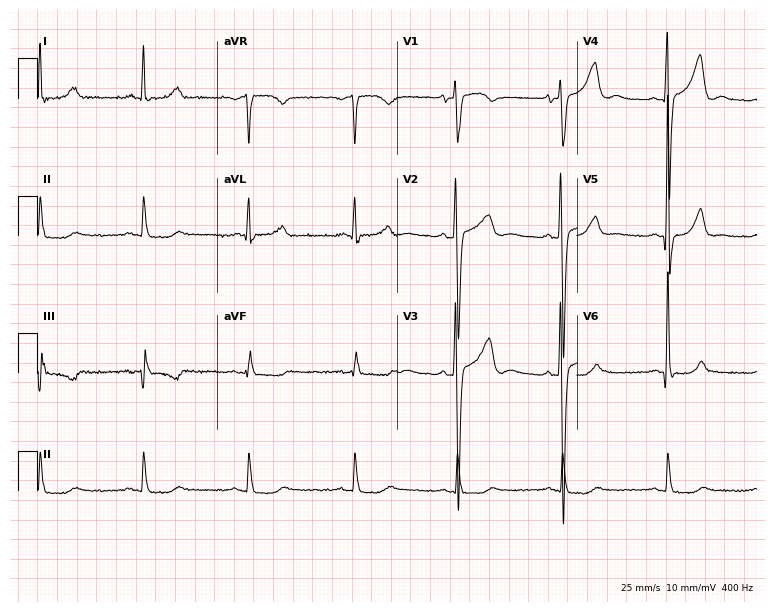
12-lead ECG from a male patient, 62 years old (7.3-second recording at 400 Hz). No first-degree AV block, right bundle branch block (RBBB), left bundle branch block (LBBB), sinus bradycardia, atrial fibrillation (AF) or sinus tachycardia recorded for this tracing.